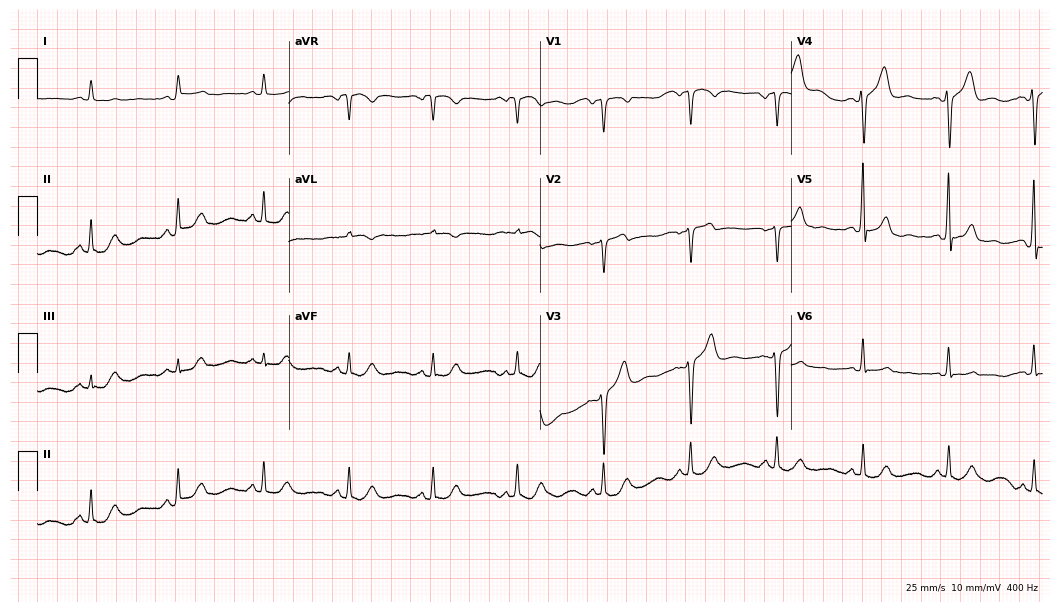
12-lead ECG from a 58-year-old male patient. No first-degree AV block, right bundle branch block, left bundle branch block, sinus bradycardia, atrial fibrillation or sinus tachycardia recorded for this tracing. Other findings, if any, are not listed.